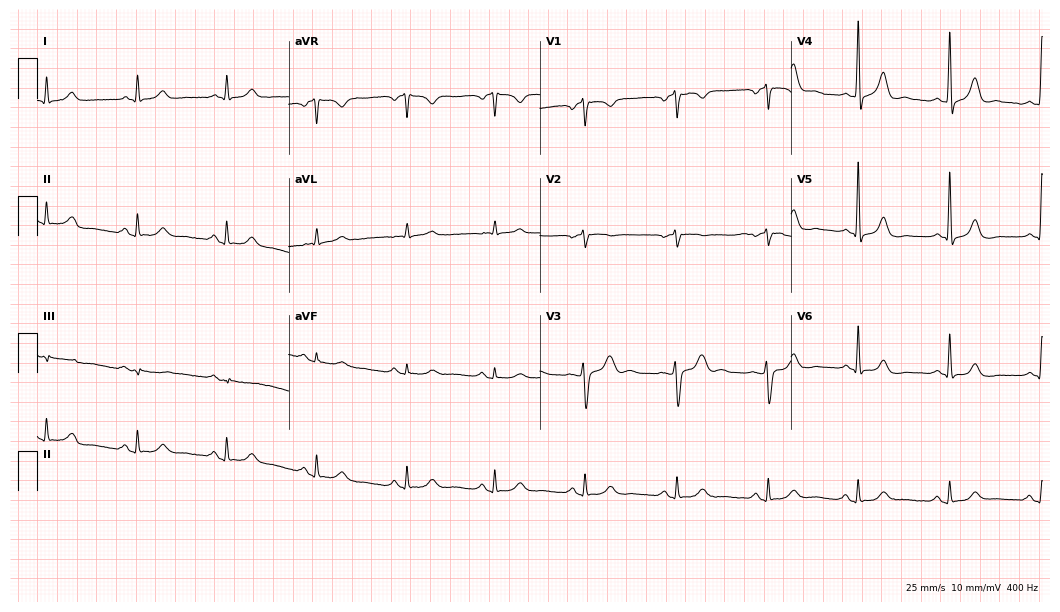
Resting 12-lead electrocardiogram. Patient: a 60-year-old male. Read as a normal ECG.